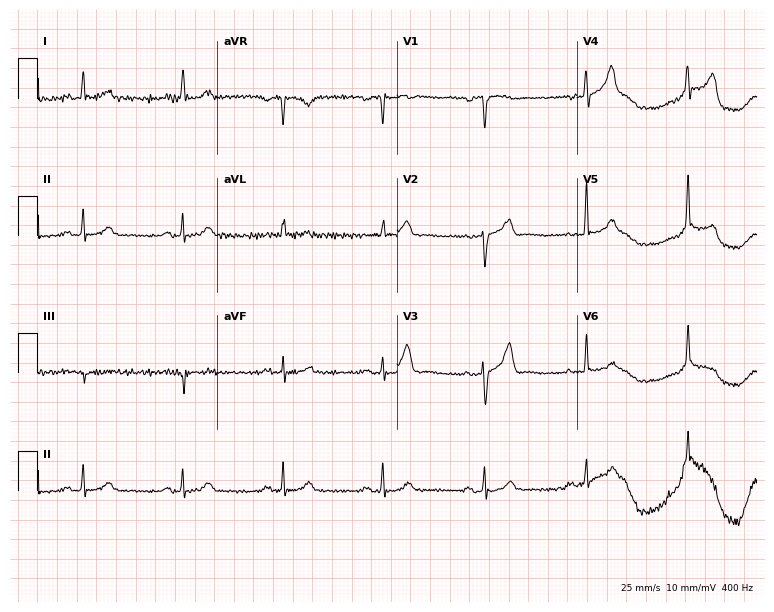
12-lead ECG from a 66-year-old male patient (7.3-second recording at 400 Hz). No first-degree AV block, right bundle branch block (RBBB), left bundle branch block (LBBB), sinus bradycardia, atrial fibrillation (AF) or sinus tachycardia recorded for this tracing. Findings outside these six are not listed.